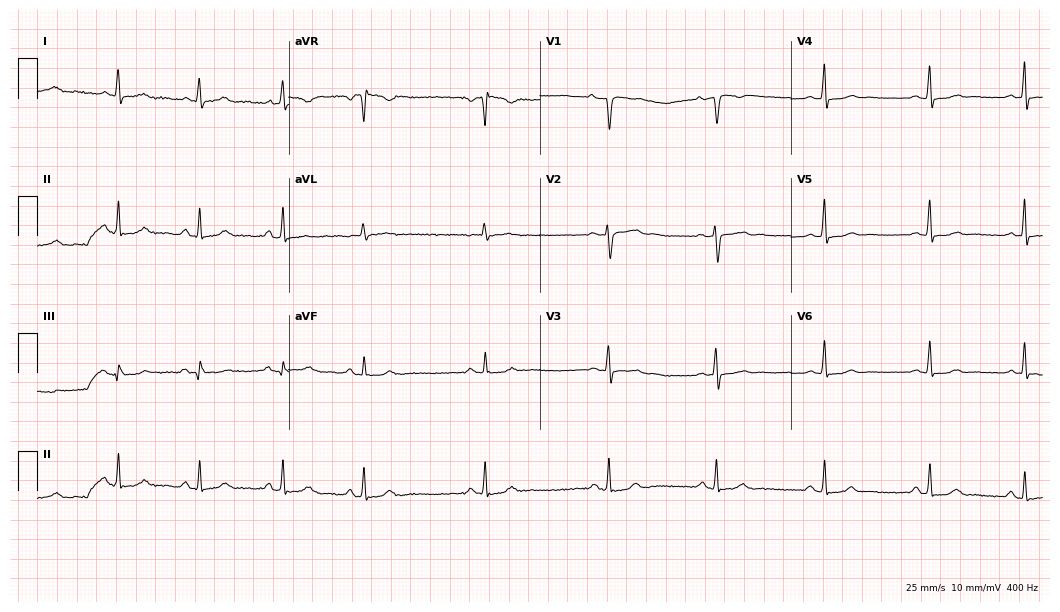
ECG — a 40-year-old female. Screened for six findings — first-degree AV block, right bundle branch block, left bundle branch block, sinus bradycardia, atrial fibrillation, sinus tachycardia — none is recorded.